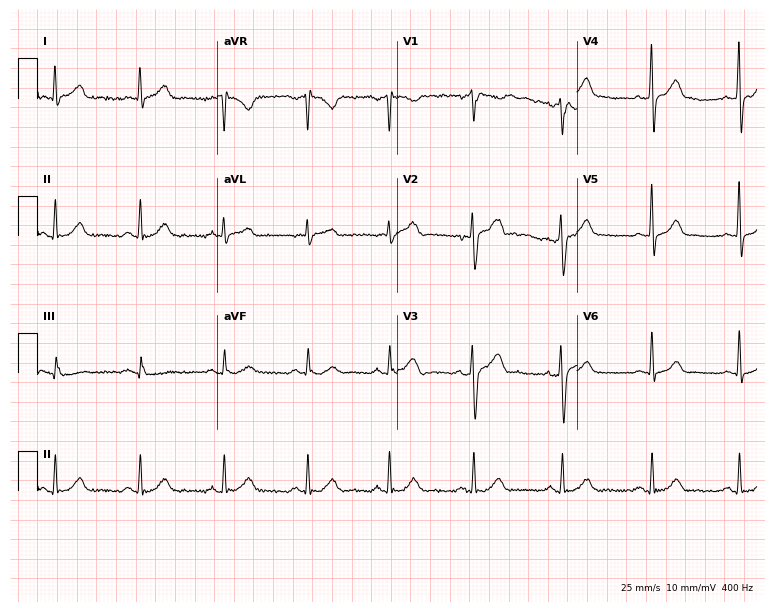
Standard 12-lead ECG recorded from a 45-year-old male. Read as a normal ECG.